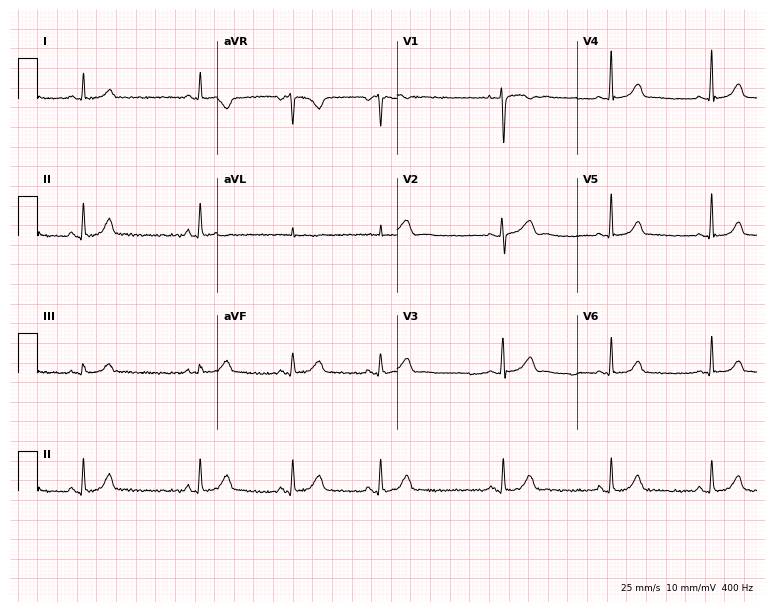
Electrocardiogram (7.3-second recording at 400 Hz), a woman, 20 years old. Overall reading on record: normal ECG.